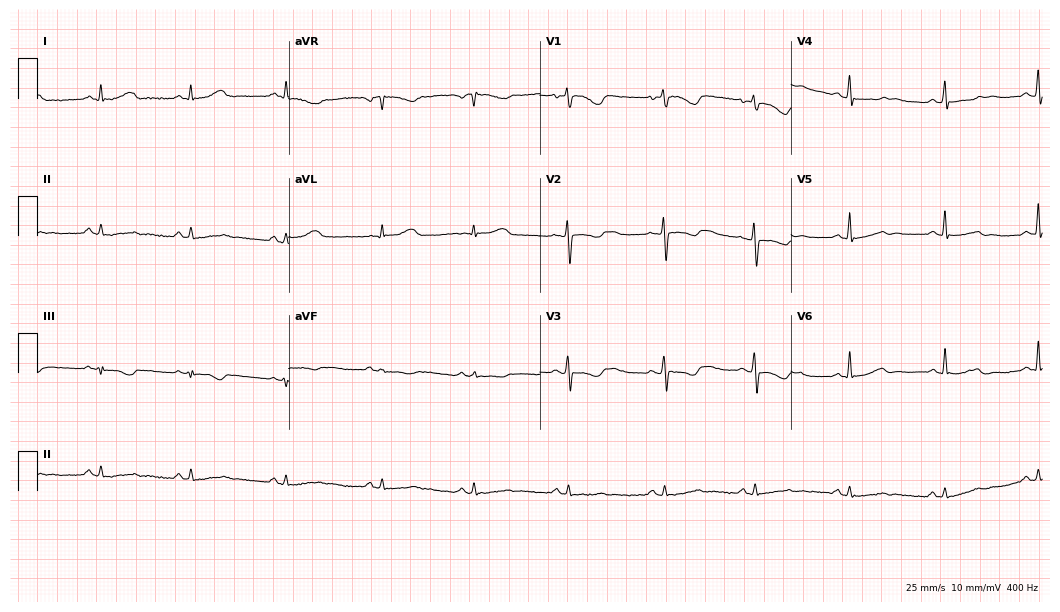
Resting 12-lead electrocardiogram (10.2-second recording at 400 Hz). Patient: a female, 44 years old. None of these six findings is recorded: first-degree AV block, right bundle branch block, left bundle branch block, sinus bradycardia, atrial fibrillation, sinus tachycardia. Only these six findings were labelled.